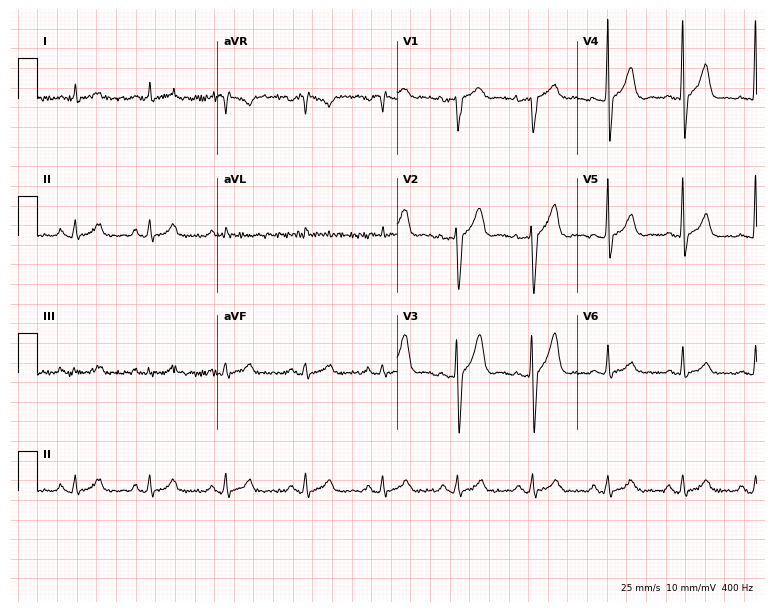
ECG (7.3-second recording at 400 Hz) — a man, 59 years old. Labelled as a normal ECG.